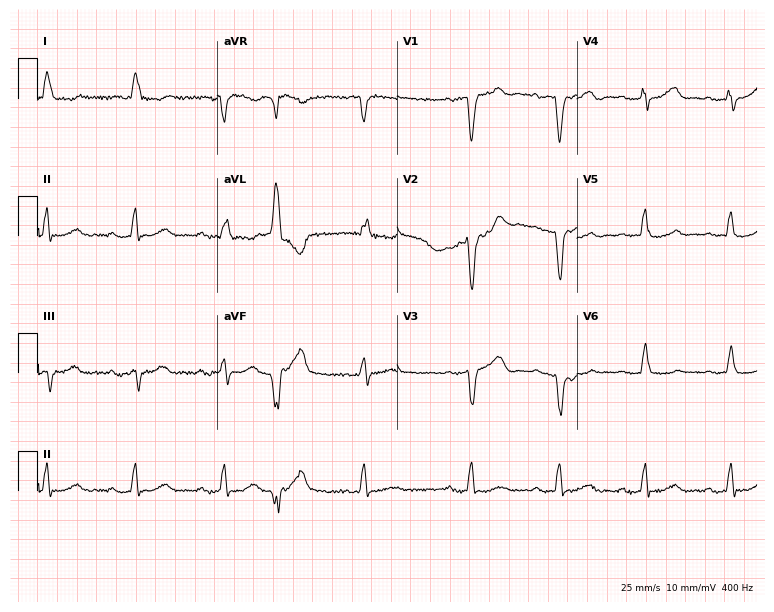
12-lead ECG from an 85-year-old female patient (7.3-second recording at 400 Hz). Shows left bundle branch block.